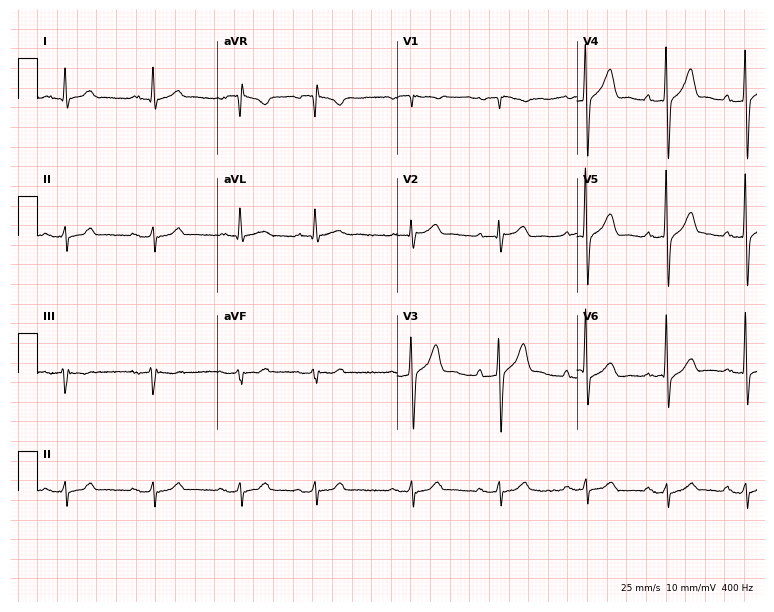
Electrocardiogram (7.3-second recording at 400 Hz), an 80-year-old man. Of the six screened findings (first-degree AV block, right bundle branch block, left bundle branch block, sinus bradycardia, atrial fibrillation, sinus tachycardia), none is recorded.